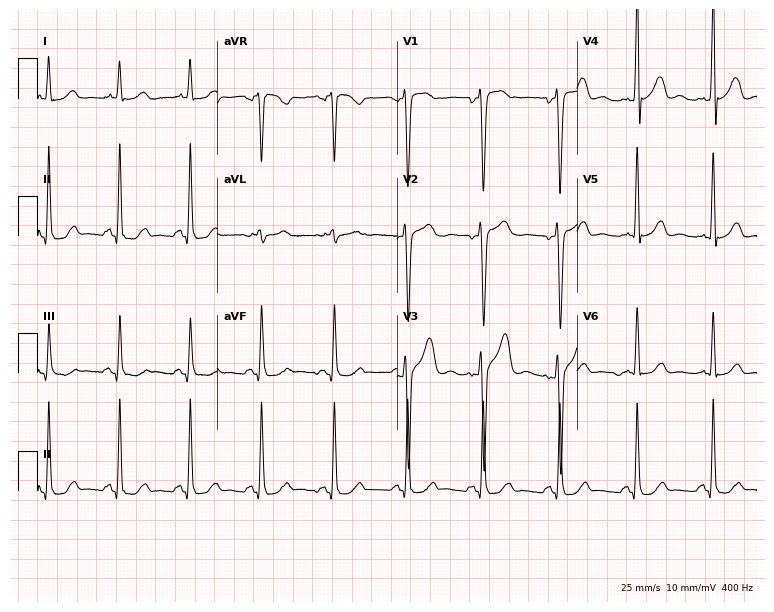
12-lead ECG from a male patient, 42 years old. No first-degree AV block, right bundle branch block, left bundle branch block, sinus bradycardia, atrial fibrillation or sinus tachycardia recorded for this tracing.